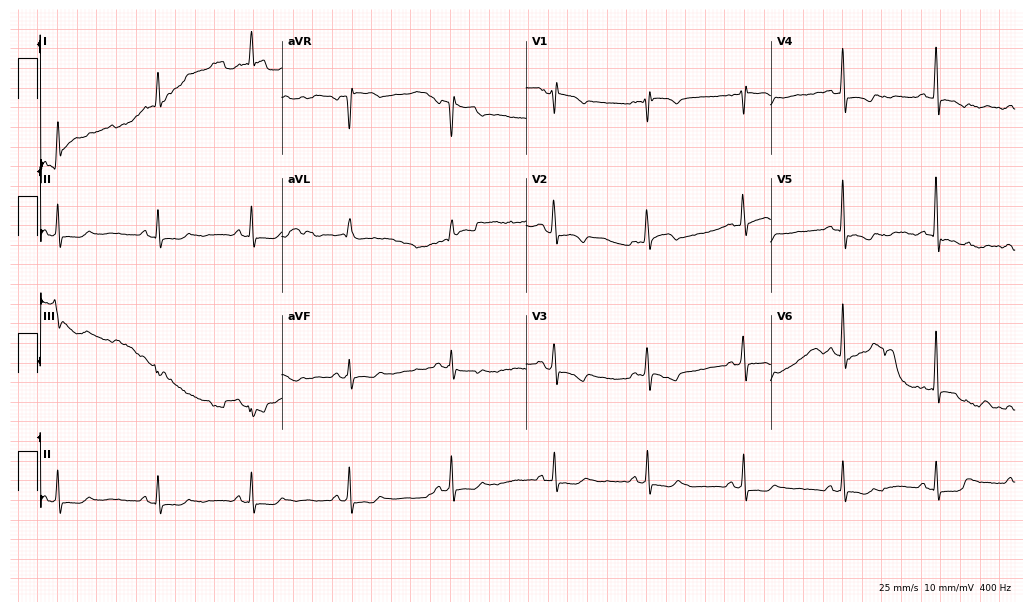
Electrocardiogram (10-second recording at 400 Hz), a female, 64 years old. Of the six screened findings (first-degree AV block, right bundle branch block, left bundle branch block, sinus bradycardia, atrial fibrillation, sinus tachycardia), none is recorded.